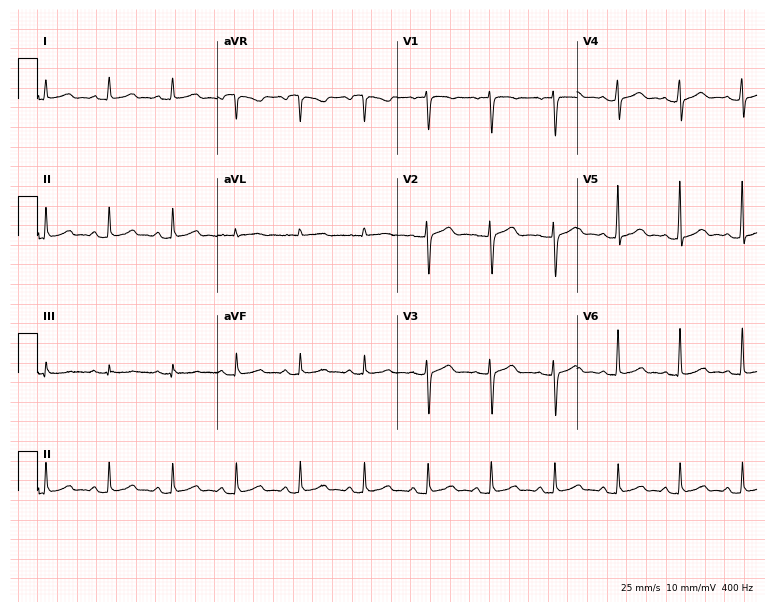
12-lead ECG from a female patient, 64 years old (7.3-second recording at 400 Hz). Recorded interpretation: within normal limits.